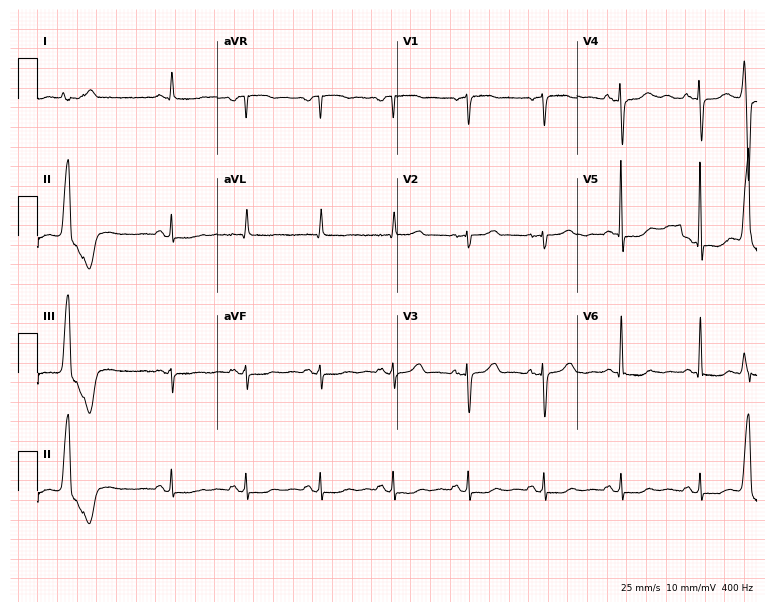
12-lead ECG (7.3-second recording at 400 Hz) from a 63-year-old female. Labelled as a normal ECG.